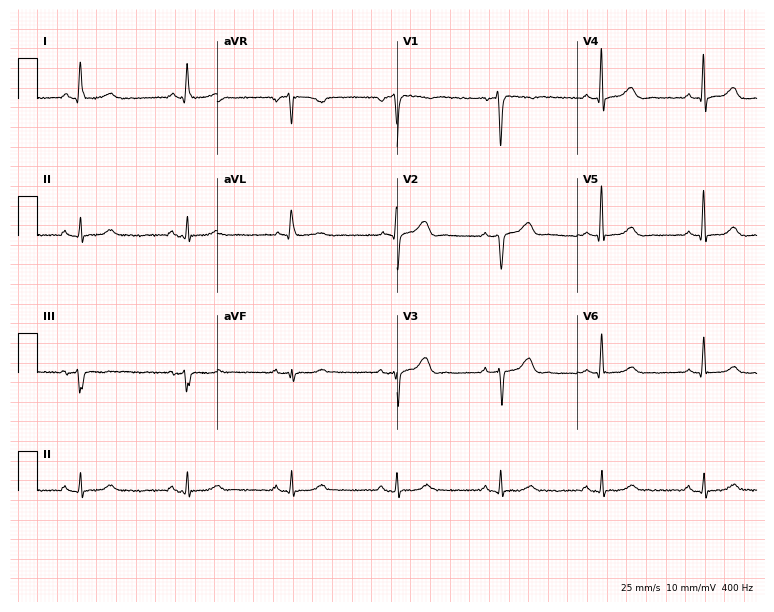
Resting 12-lead electrocardiogram (7.3-second recording at 400 Hz). Patient: a man, 48 years old. Read as a normal ECG.